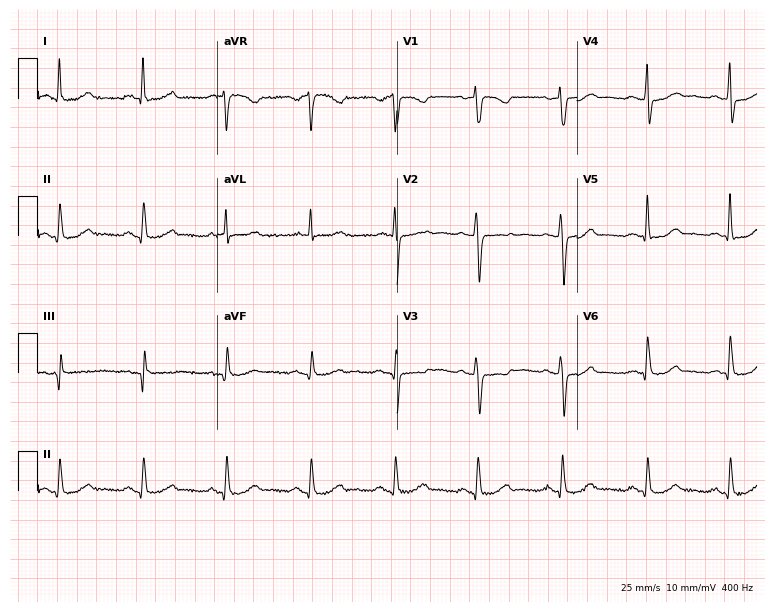
Electrocardiogram, a 53-year-old woman. Overall reading on record: normal ECG.